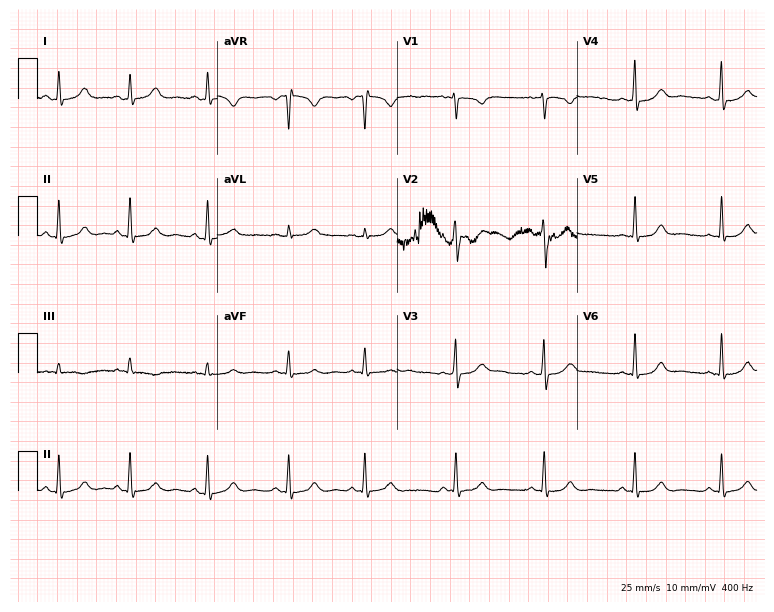
Resting 12-lead electrocardiogram. Patient: a 23-year-old female. Read as a normal ECG.